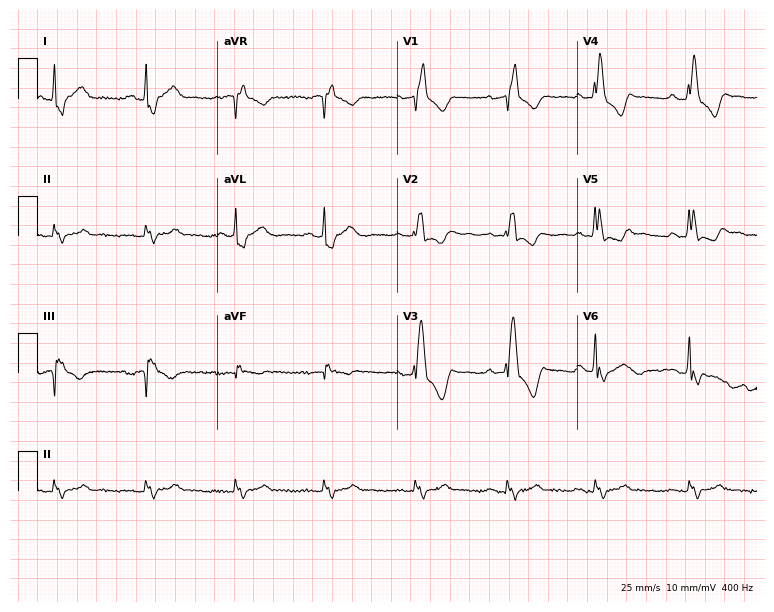
12-lead ECG from a 61-year-old male. Screened for six findings — first-degree AV block, right bundle branch block, left bundle branch block, sinus bradycardia, atrial fibrillation, sinus tachycardia — none is recorded. Only these six findings were labelled.